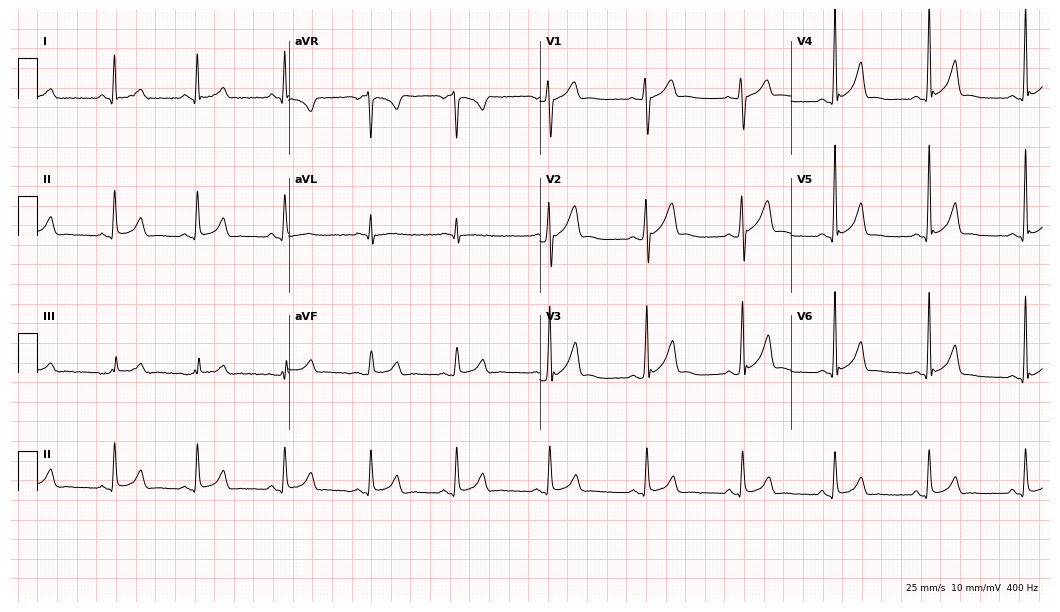
Resting 12-lead electrocardiogram (10.2-second recording at 400 Hz). Patient: a 27-year-old male. Read as a normal ECG.